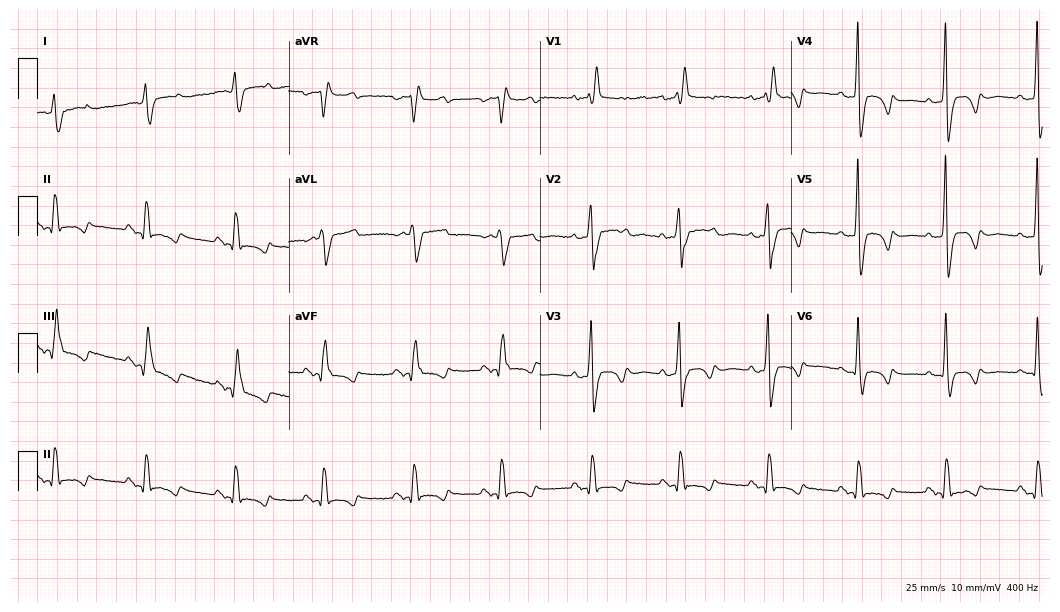
12-lead ECG from a female, 57 years old (10.2-second recording at 400 Hz). Shows right bundle branch block.